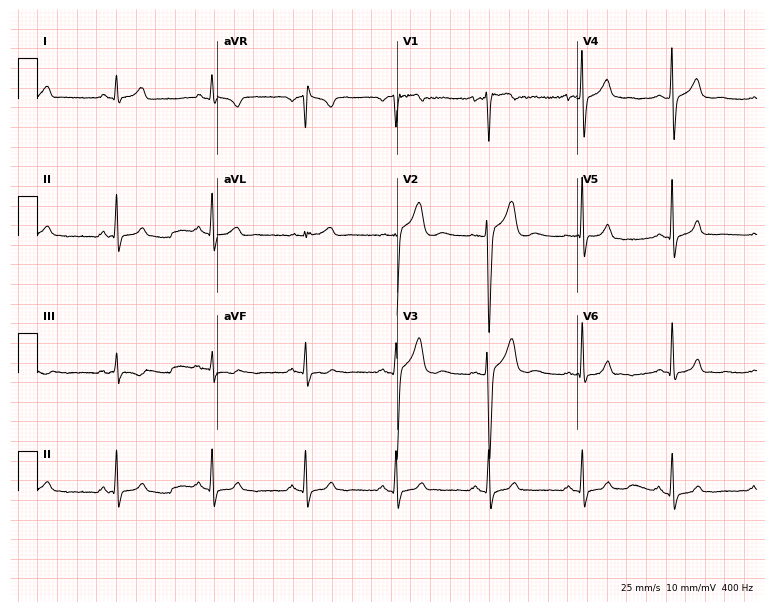
ECG — a male, 24 years old. Screened for six findings — first-degree AV block, right bundle branch block (RBBB), left bundle branch block (LBBB), sinus bradycardia, atrial fibrillation (AF), sinus tachycardia — none is recorded.